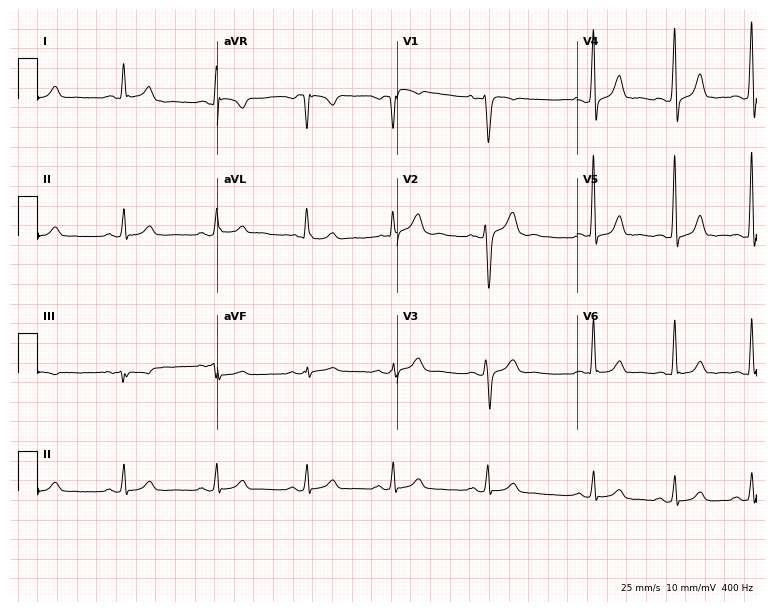
ECG — a male, 41 years old. Screened for six findings — first-degree AV block, right bundle branch block, left bundle branch block, sinus bradycardia, atrial fibrillation, sinus tachycardia — none is recorded. Findings outside these six are not listed.